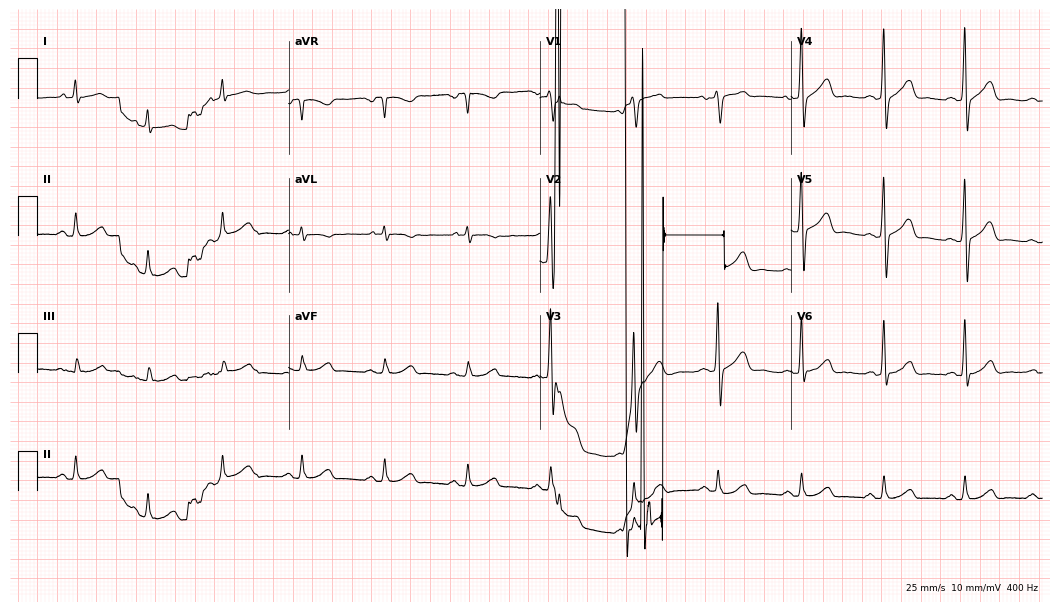
12-lead ECG from a male patient, 51 years old (10.2-second recording at 400 Hz). No first-degree AV block, right bundle branch block (RBBB), left bundle branch block (LBBB), sinus bradycardia, atrial fibrillation (AF) or sinus tachycardia recorded for this tracing. Findings outside these six are not listed.